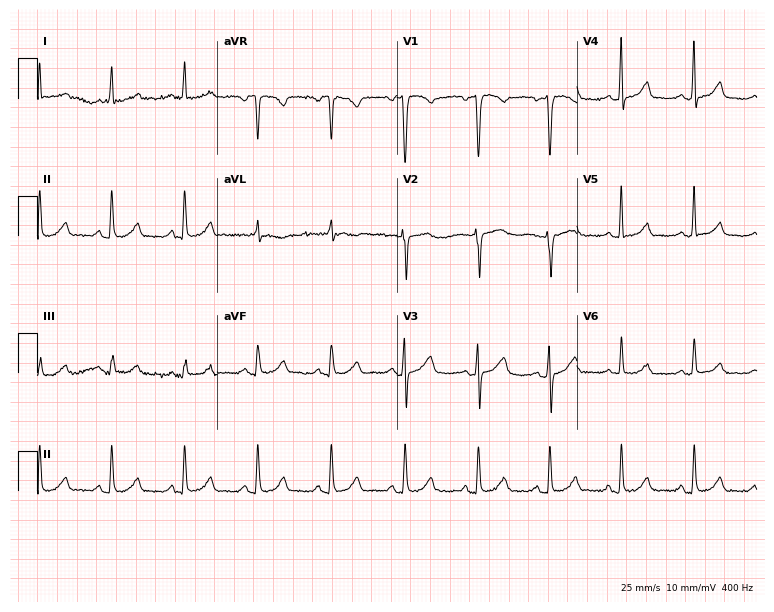
Standard 12-lead ECG recorded from a 47-year-old female. Read as a normal ECG.